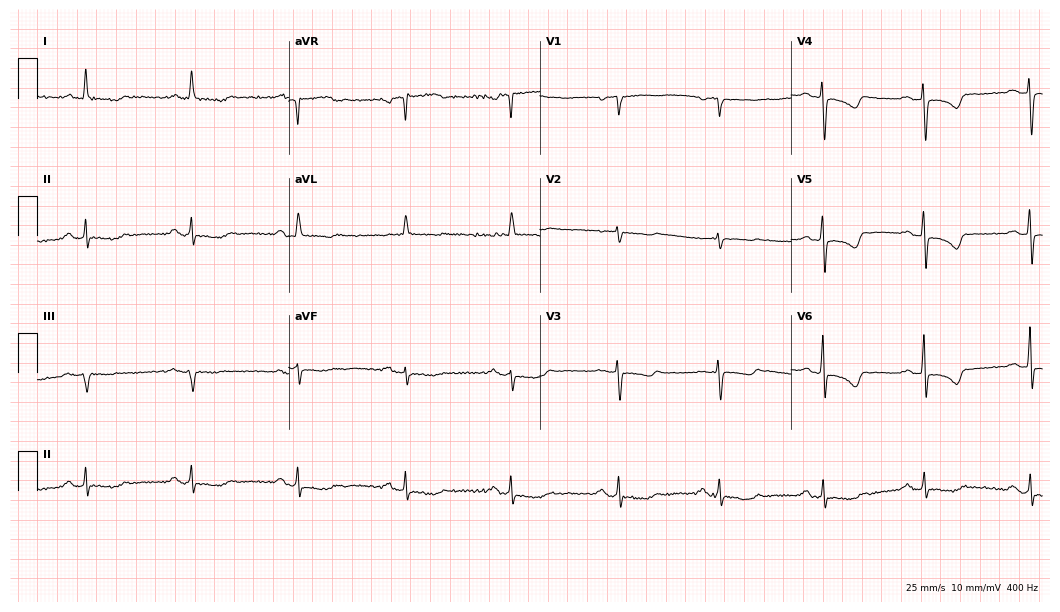
12-lead ECG from a 76-year-old female. No first-degree AV block, right bundle branch block (RBBB), left bundle branch block (LBBB), sinus bradycardia, atrial fibrillation (AF) or sinus tachycardia recorded for this tracing.